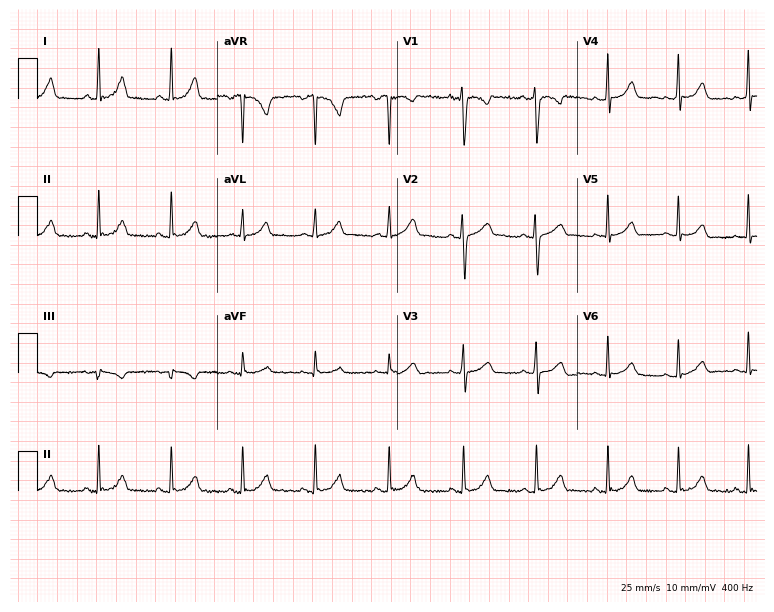
Standard 12-lead ECG recorded from a 31-year-old female. Read as a normal ECG.